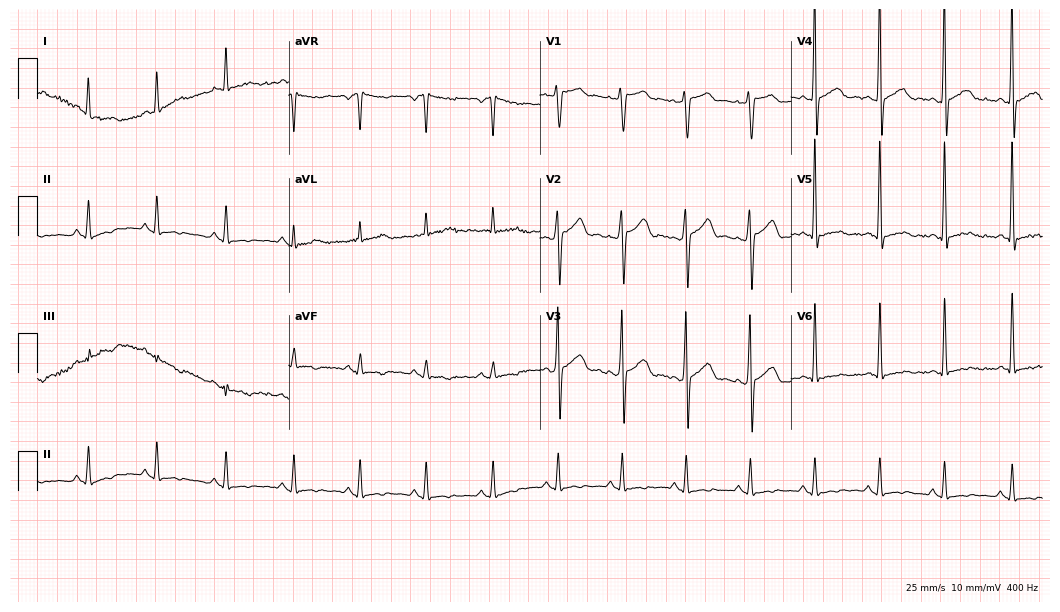
Electrocardiogram (10.2-second recording at 400 Hz), a 32-year-old male. Of the six screened findings (first-degree AV block, right bundle branch block (RBBB), left bundle branch block (LBBB), sinus bradycardia, atrial fibrillation (AF), sinus tachycardia), none is recorded. Other findings, if any, are not listed.